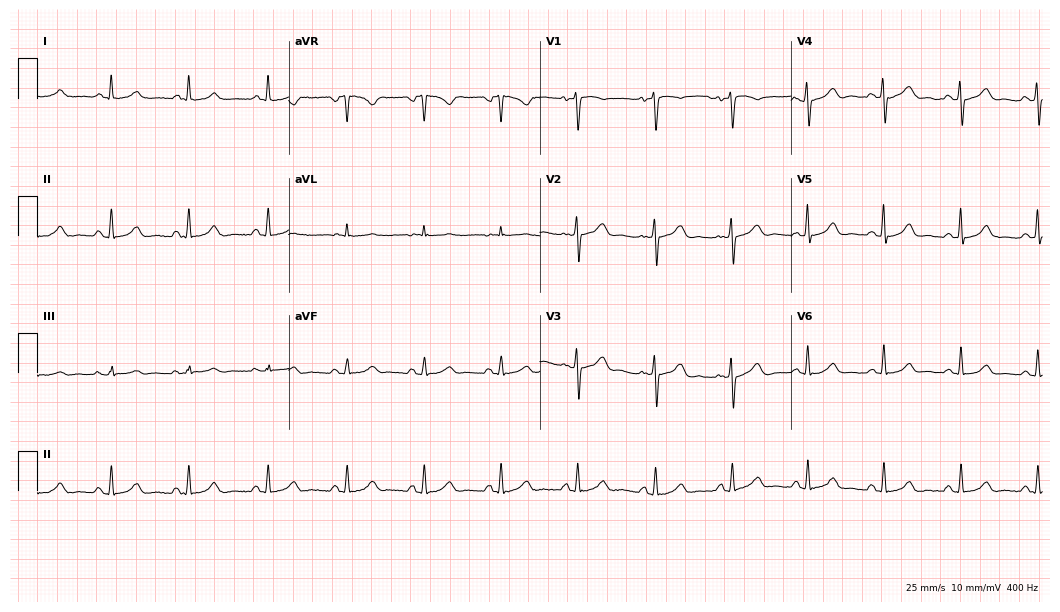
12-lead ECG (10.2-second recording at 400 Hz) from a female, 40 years old. Labelled as a normal ECG.